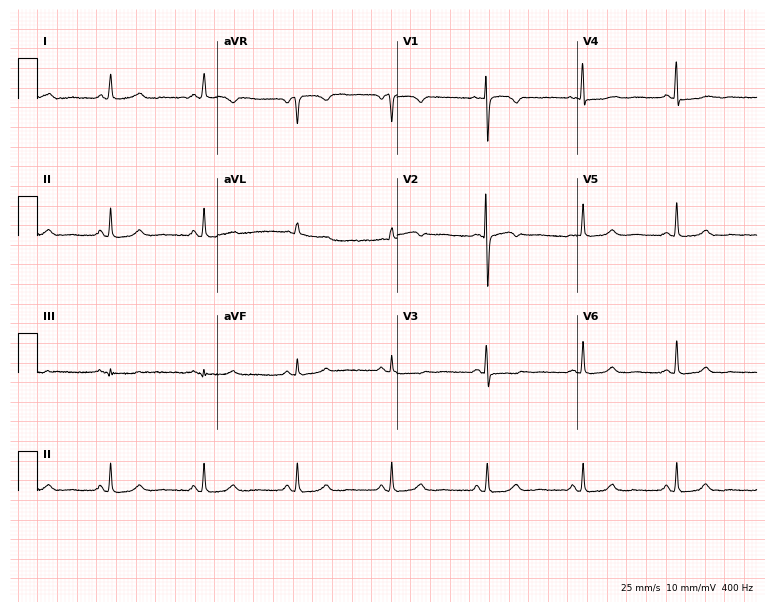
ECG — a 58-year-old female patient. Labelled as a normal ECG.